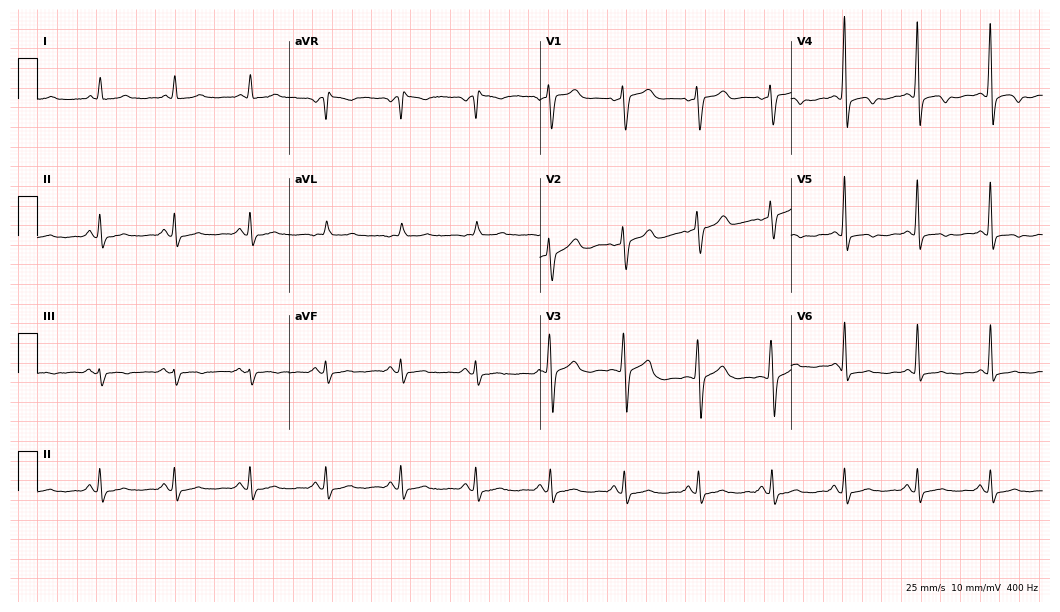
12-lead ECG from a man, 72 years old. No first-degree AV block, right bundle branch block (RBBB), left bundle branch block (LBBB), sinus bradycardia, atrial fibrillation (AF) or sinus tachycardia recorded for this tracing. Findings outside these six are not listed.